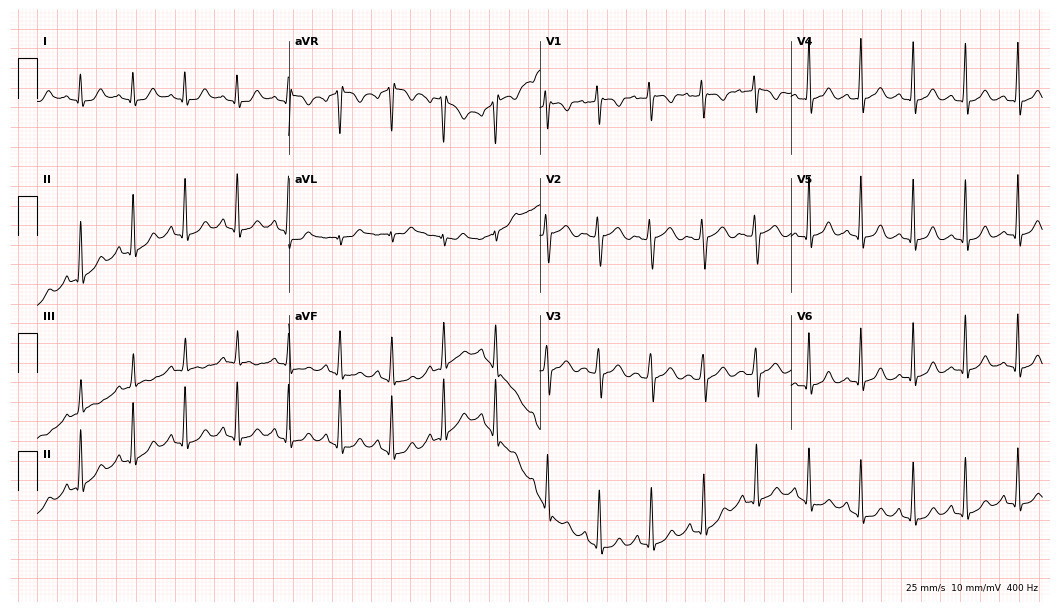
12-lead ECG from a 21-year-old female. Findings include sinus tachycardia (a sinus rate of 100 beats per minute or more).